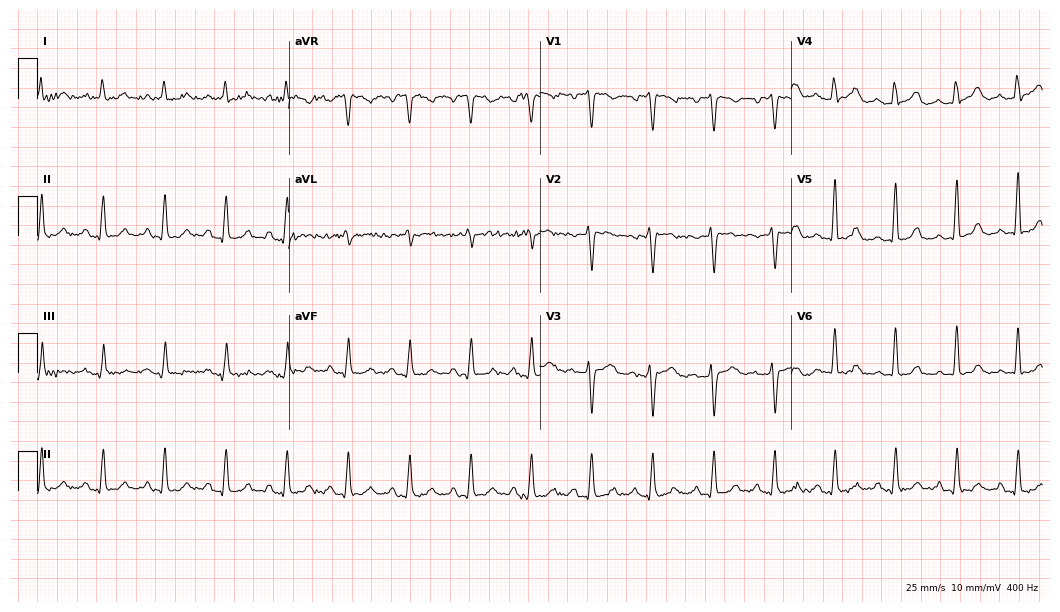
Standard 12-lead ECG recorded from a female, 54 years old (10.2-second recording at 400 Hz). Read as a normal ECG.